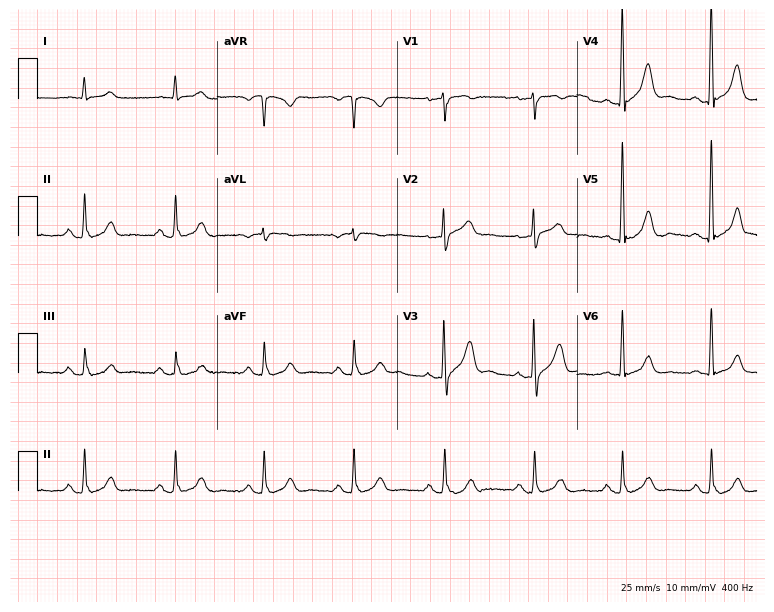
12-lead ECG from a 72-year-old male patient. Recorded interpretation: within normal limits.